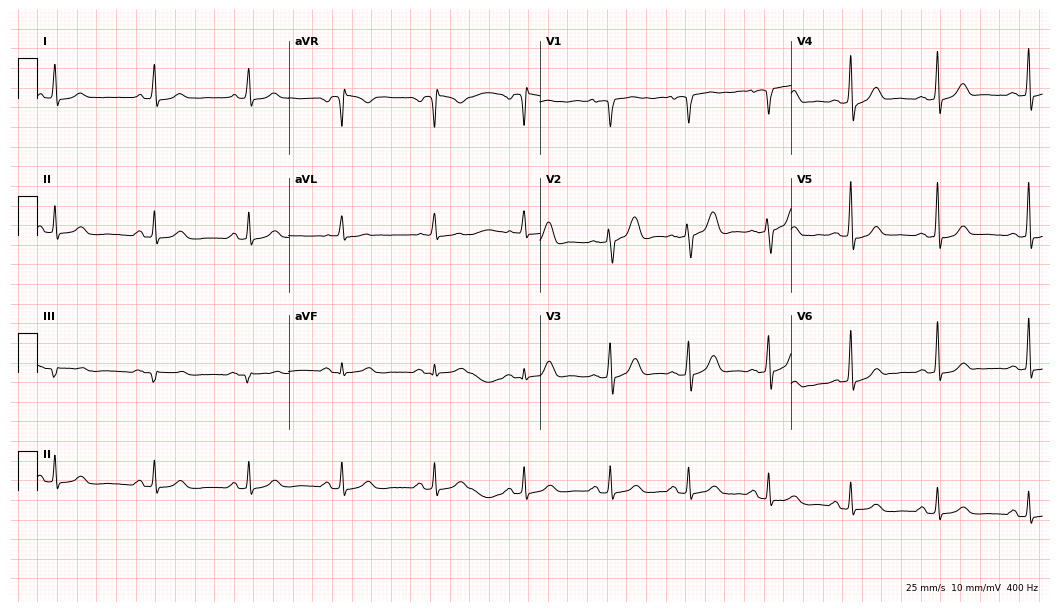
Standard 12-lead ECG recorded from a woman, 46 years old. Read as a normal ECG.